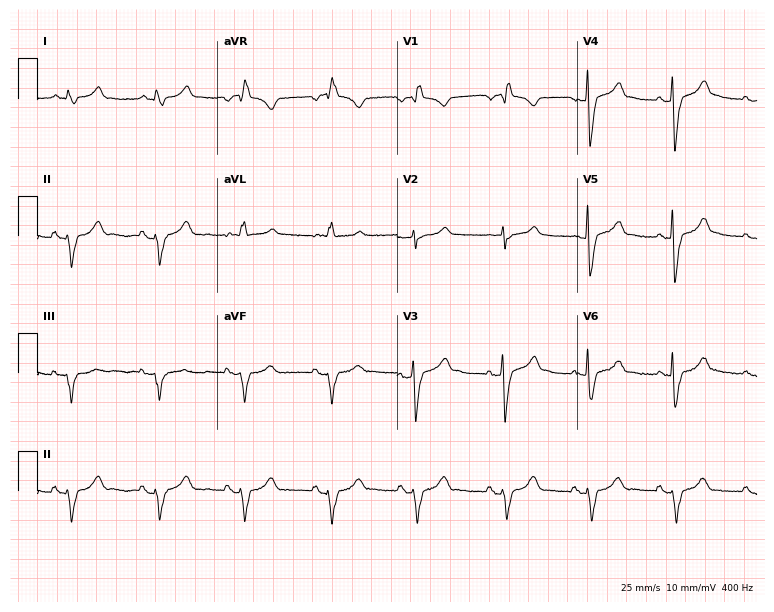
Standard 12-lead ECG recorded from a 71-year-old male patient. The tracing shows right bundle branch block (RBBB).